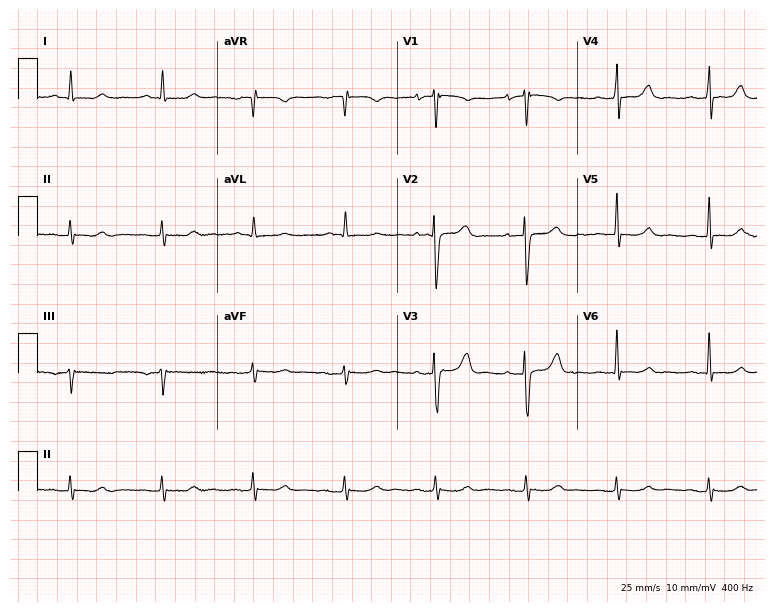
Resting 12-lead electrocardiogram (7.3-second recording at 400 Hz). Patient: an 81-year-old woman. None of these six findings is recorded: first-degree AV block, right bundle branch block, left bundle branch block, sinus bradycardia, atrial fibrillation, sinus tachycardia.